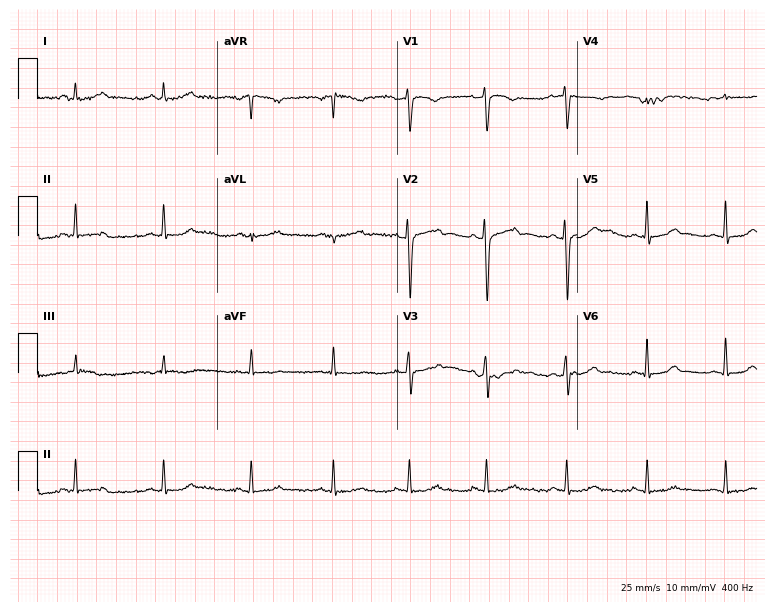
ECG — a female patient, 32 years old. Screened for six findings — first-degree AV block, right bundle branch block, left bundle branch block, sinus bradycardia, atrial fibrillation, sinus tachycardia — none is recorded.